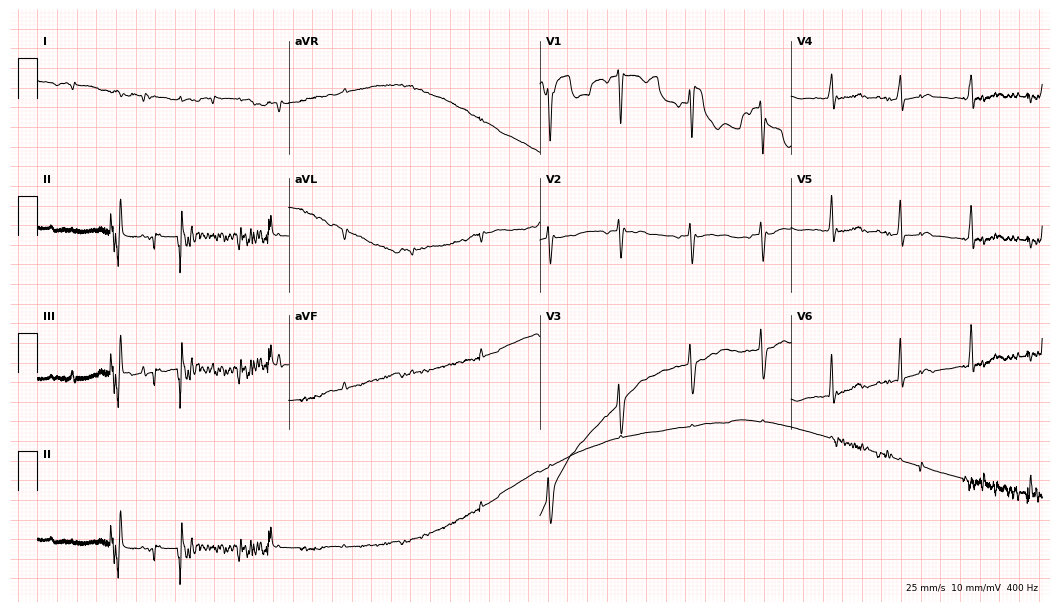
Standard 12-lead ECG recorded from a 37-year-old woman. None of these six findings is recorded: first-degree AV block, right bundle branch block, left bundle branch block, sinus bradycardia, atrial fibrillation, sinus tachycardia.